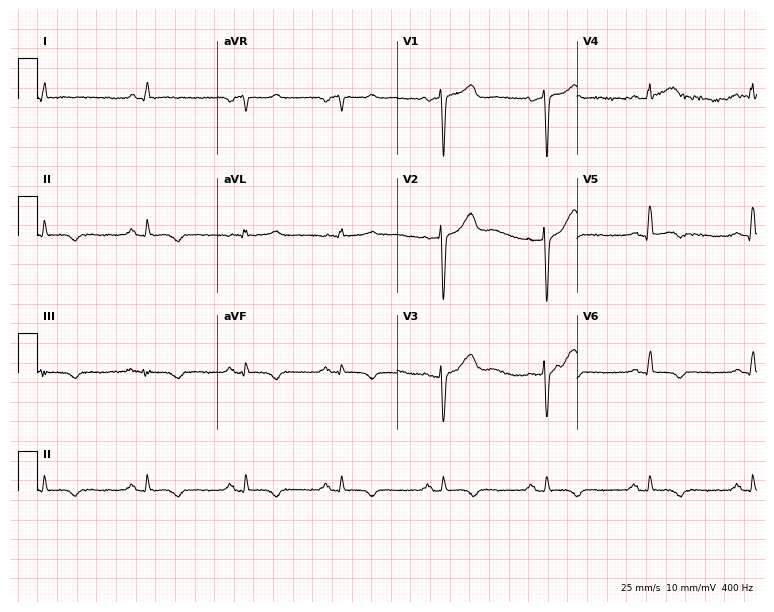
ECG — a male, 46 years old. Screened for six findings — first-degree AV block, right bundle branch block (RBBB), left bundle branch block (LBBB), sinus bradycardia, atrial fibrillation (AF), sinus tachycardia — none is recorded.